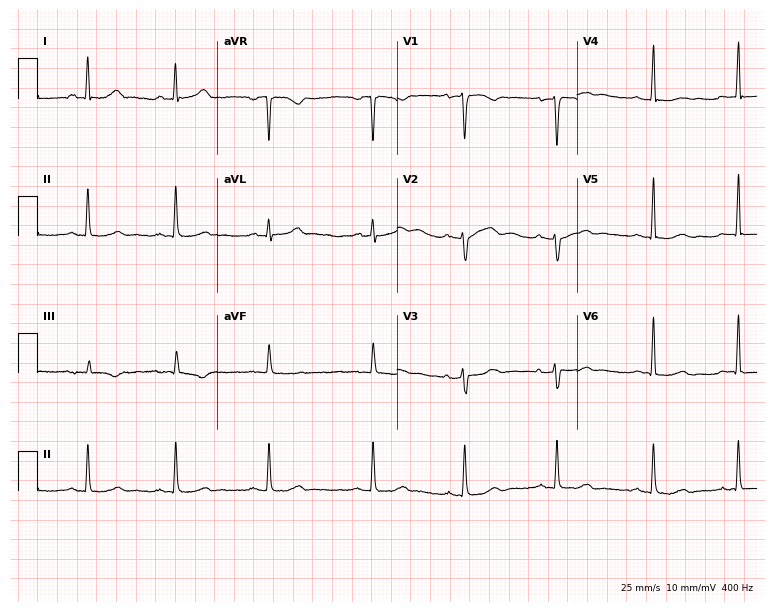
Electrocardiogram (7.3-second recording at 400 Hz), a female, 48 years old. Overall reading on record: normal ECG.